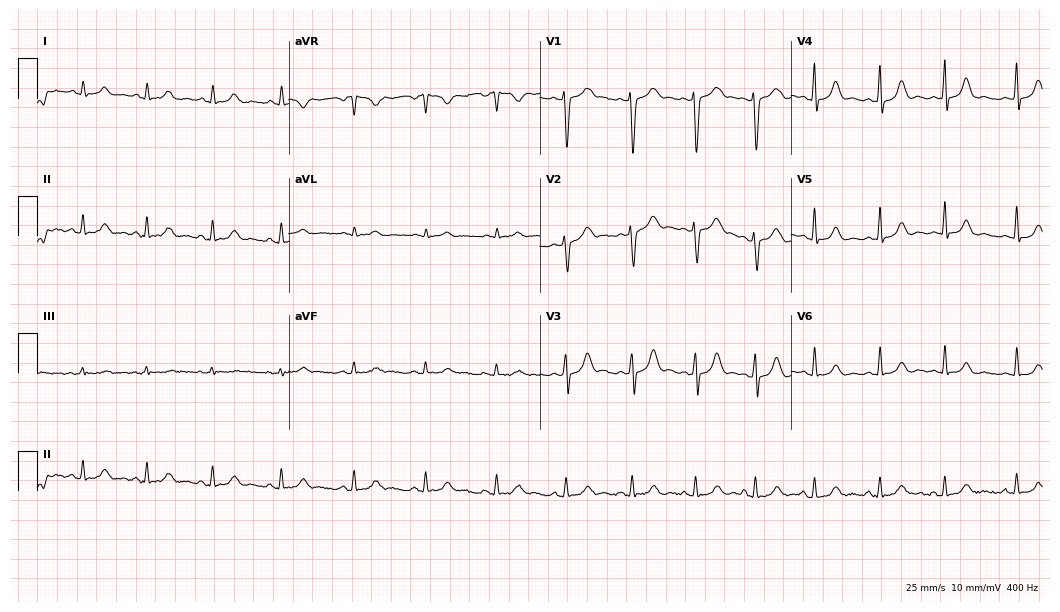
ECG (10.2-second recording at 400 Hz) — a 32-year-old female patient. Labelled as a normal ECG.